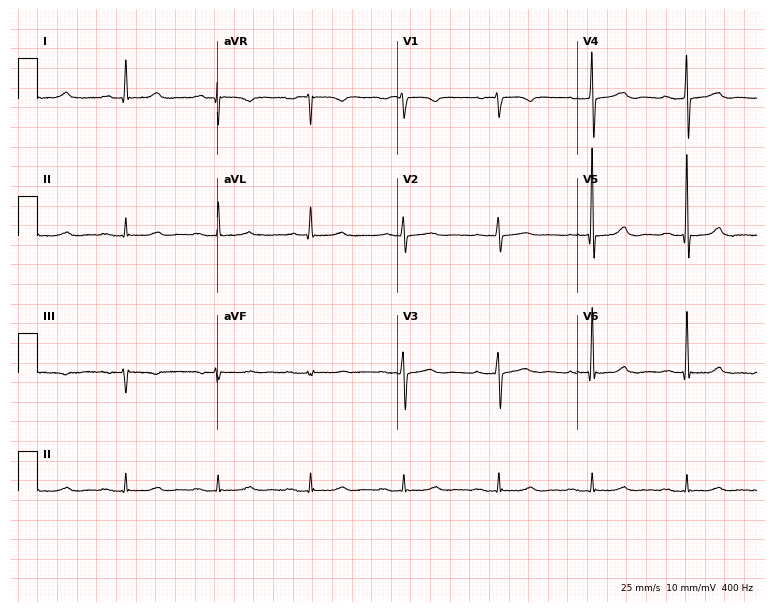
ECG — a 77-year-old female. Labelled as a normal ECG.